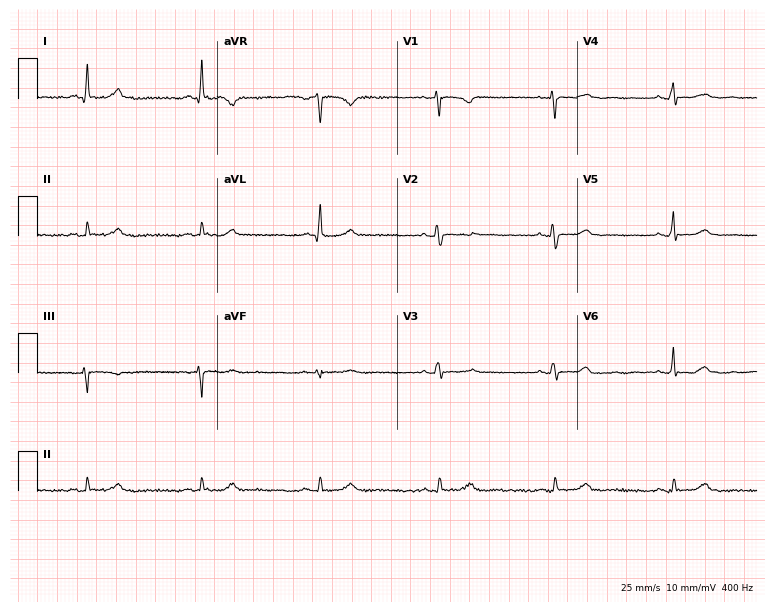
Resting 12-lead electrocardiogram. Patient: a female, 32 years old. Read as a normal ECG.